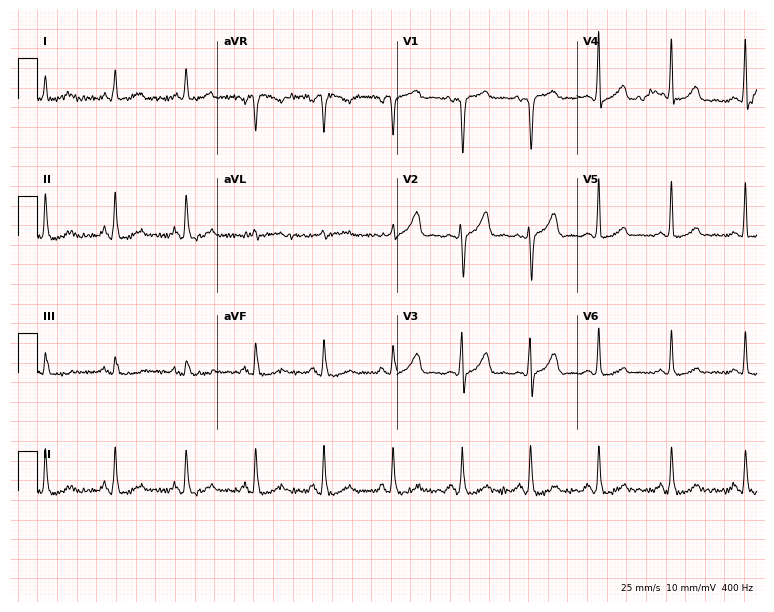
Resting 12-lead electrocardiogram (7.3-second recording at 400 Hz). Patient: a 65-year-old female. Read as a normal ECG.